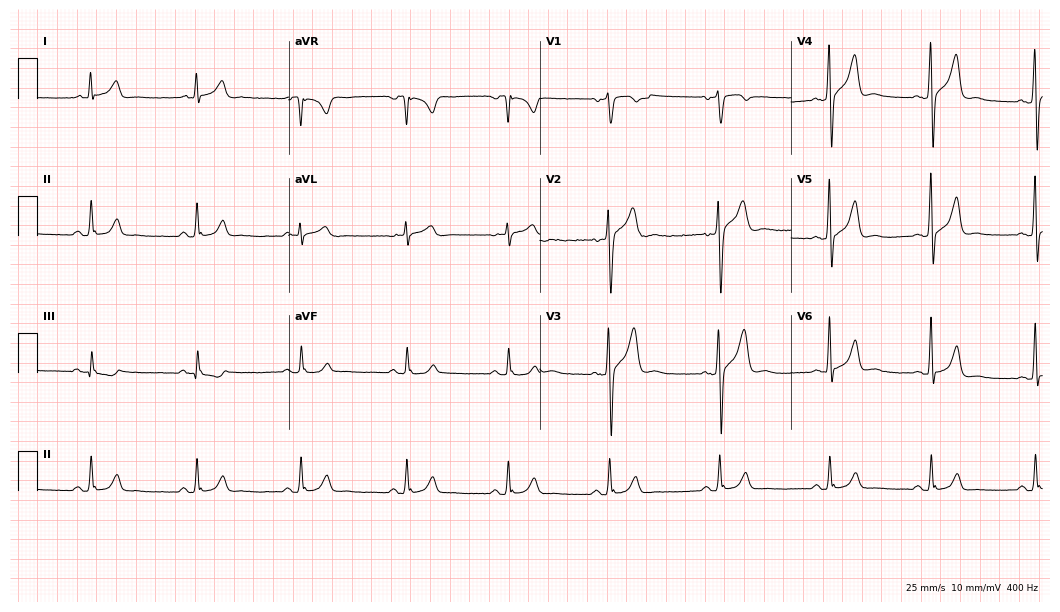
Resting 12-lead electrocardiogram (10.2-second recording at 400 Hz). Patient: a man, 34 years old. Read as a normal ECG.